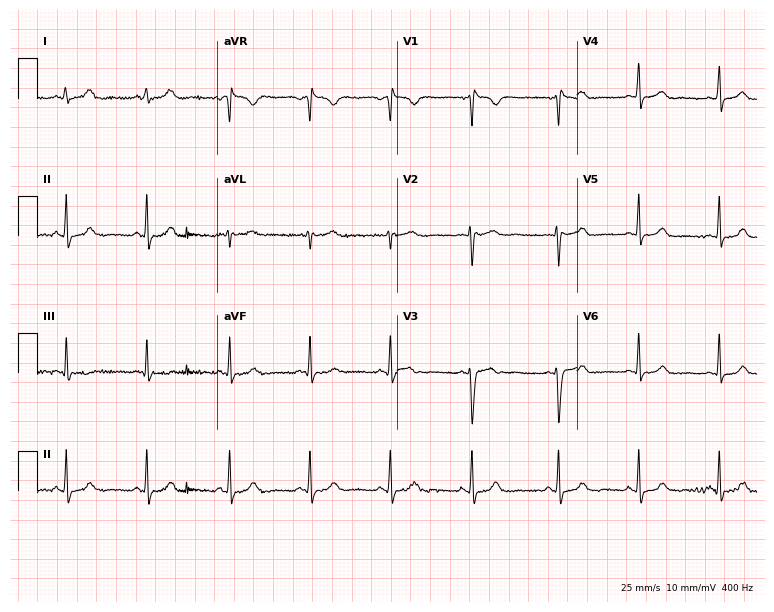
Electrocardiogram (7.3-second recording at 400 Hz), a female patient, 19 years old. Of the six screened findings (first-degree AV block, right bundle branch block (RBBB), left bundle branch block (LBBB), sinus bradycardia, atrial fibrillation (AF), sinus tachycardia), none is recorded. Only these six findings were labelled.